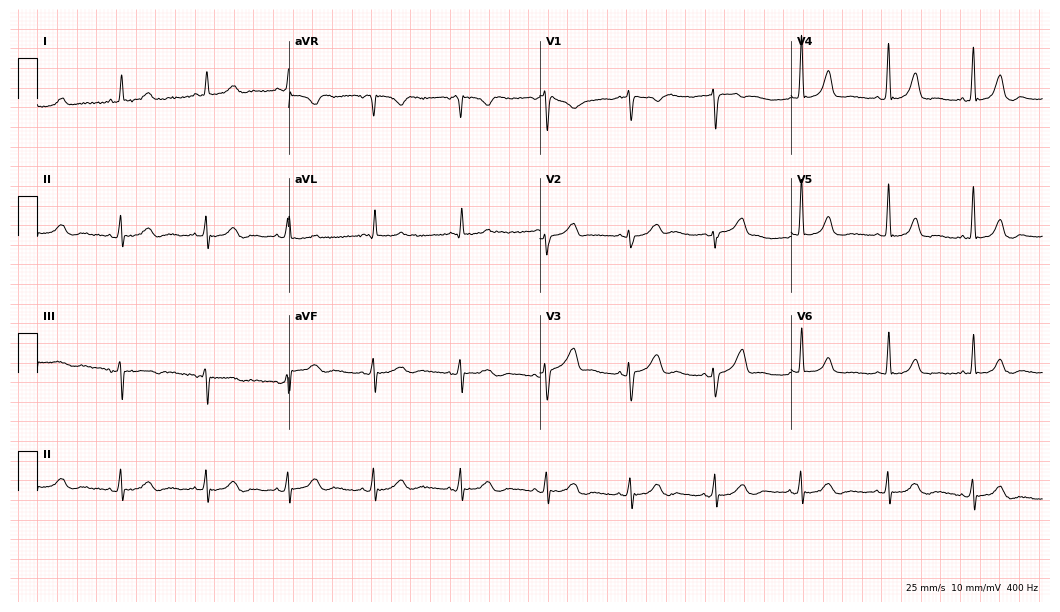
12-lead ECG from a woman, 76 years old. Screened for six findings — first-degree AV block, right bundle branch block (RBBB), left bundle branch block (LBBB), sinus bradycardia, atrial fibrillation (AF), sinus tachycardia — none is recorded.